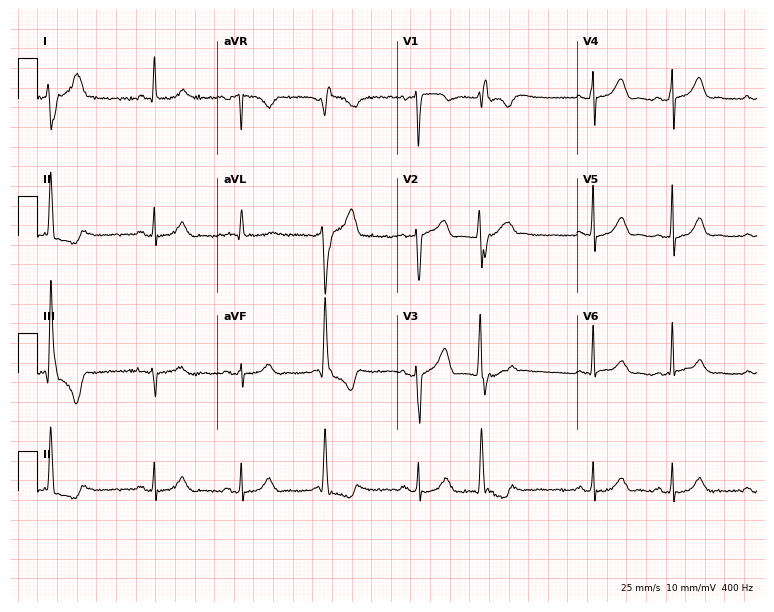
Resting 12-lead electrocardiogram. Patient: a 77-year-old male. None of these six findings is recorded: first-degree AV block, right bundle branch block, left bundle branch block, sinus bradycardia, atrial fibrillation, sinus tachycardia. Other findings, if any, are not listed.